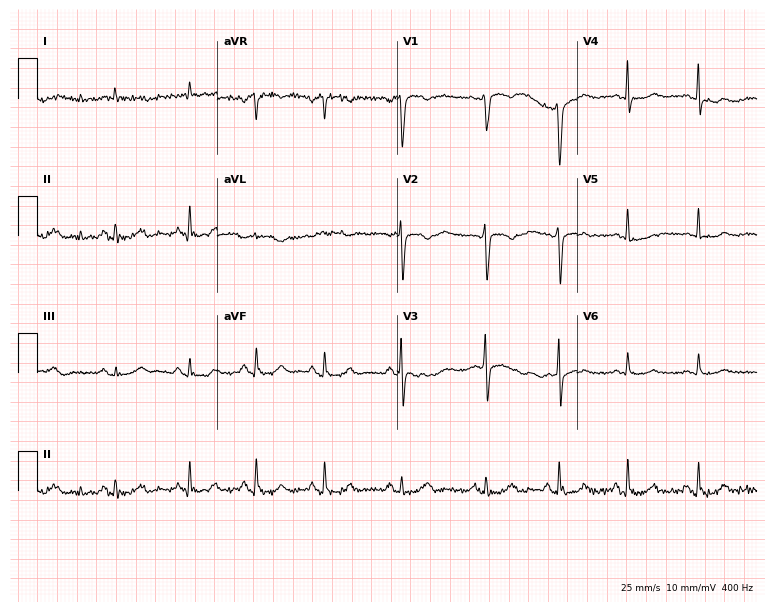
Standard 12-lead ECG recorded from a 66-year-old woman (7.3-second recording at 400 Hz). None of these six findings is recorded: first-degree AV block, right bundle branch block, left bundle branch block, sinus bradycardia, atrial fibrillation, sinus tachycardia.